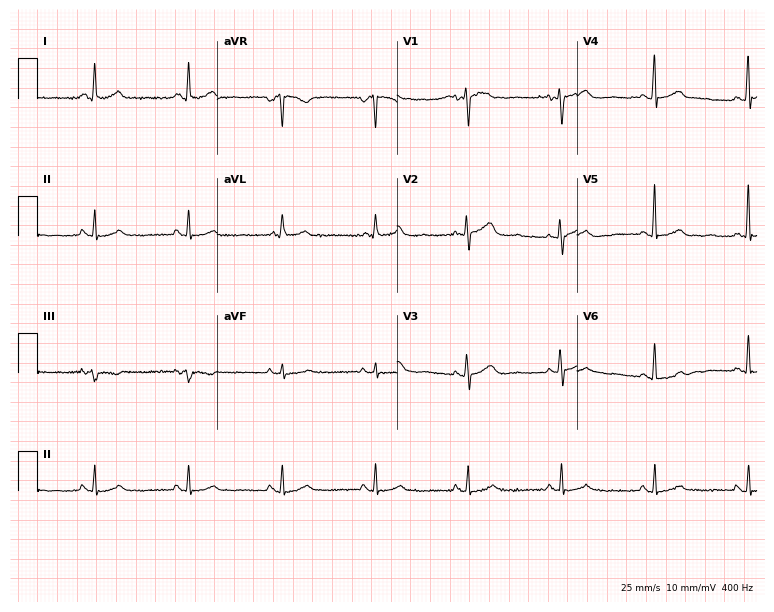
Resting 12-lead electrocardiogram (7.3-second recording at 400 Hz). Patient: a woman, 57 years old. Read as a normal ECG.